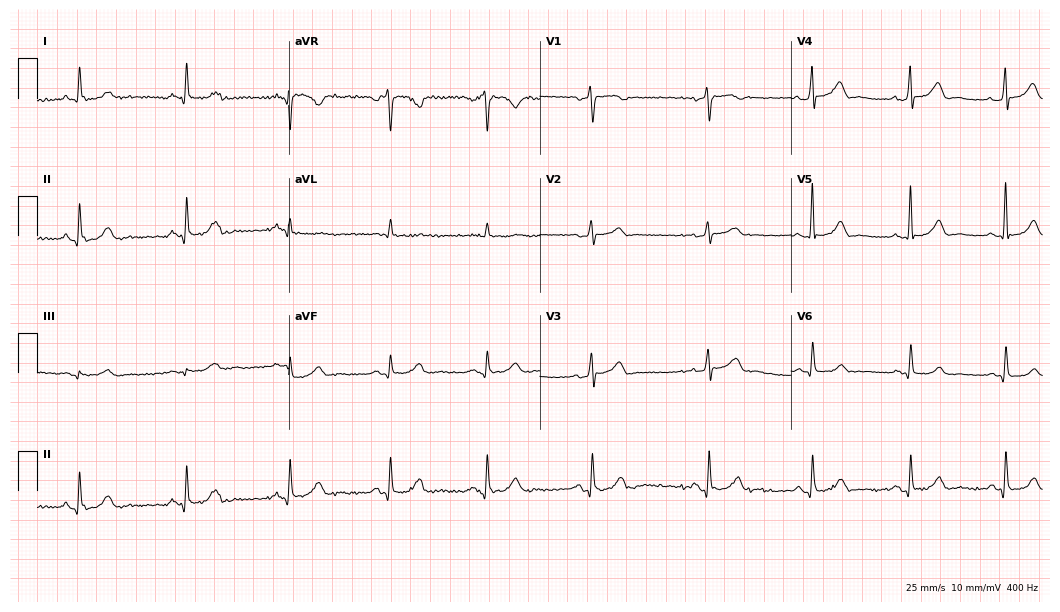
Electrocardiogram (10.2-second recording at 400 Hz), a male patient, 78 years old. Overall reading on record: normal ECG.